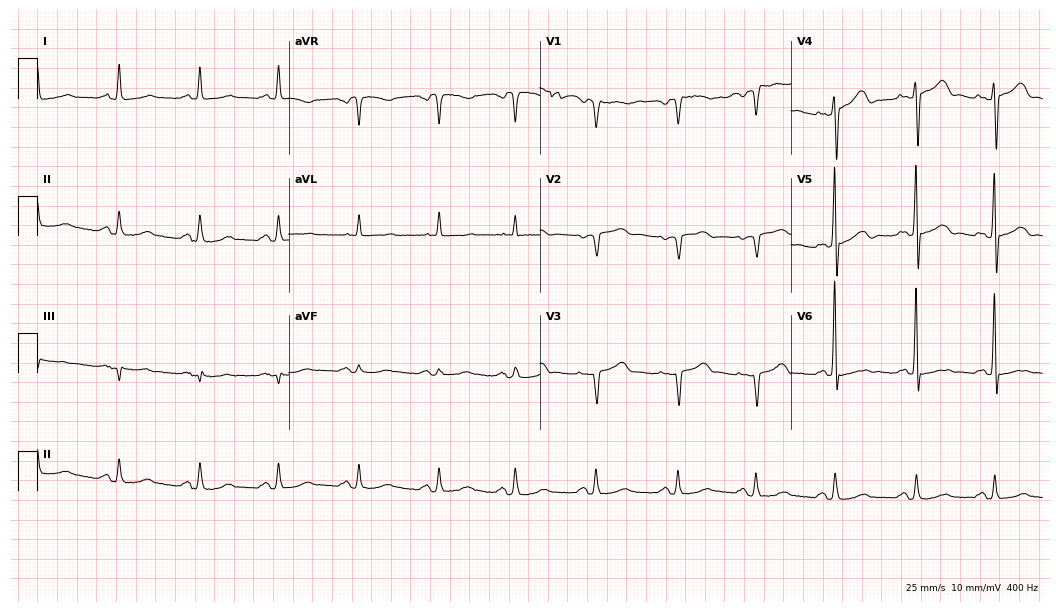
Resting 12-lead electrocardiogram. Patient: an 85-year-old female. None of these six findings is recorded: first-degree AV block, right bundle branch block, left bundle branch block, sinus bradycardia, atrial fibrillation, sinus tachycardia. Other findings, if any, are not listed.